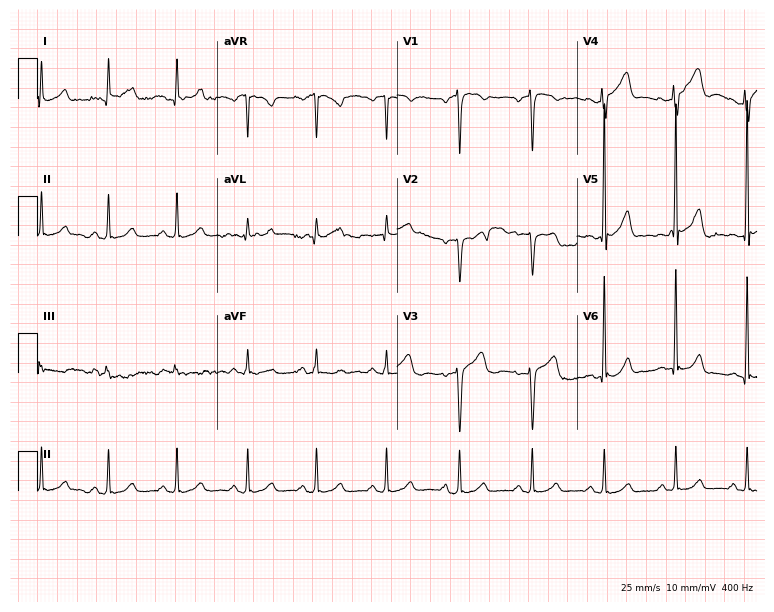
ECG — a male patient, 45 years old. Labelled as a normal ECG.